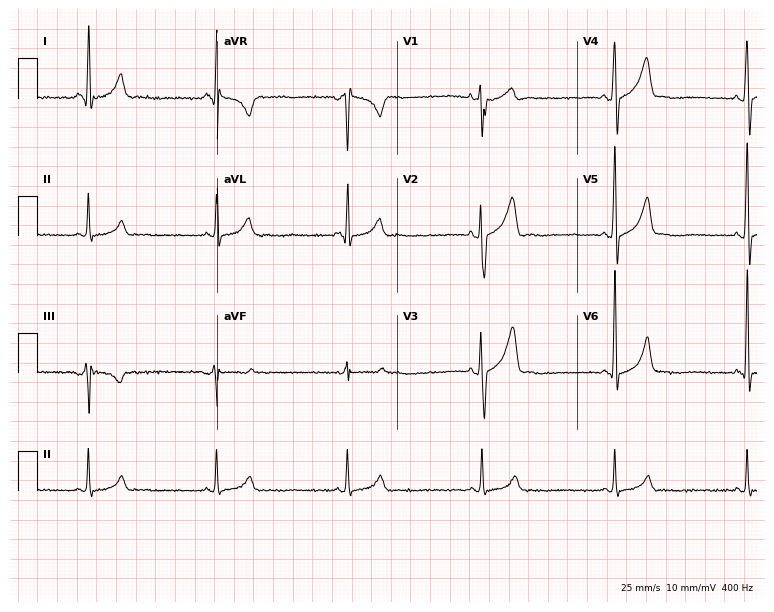
12-lead ECG (7.3-second recording at 400 Hz) from a male, 24 years old. Findings include sinus bradycardia (a sinus rate of 50 beats per minute or less).